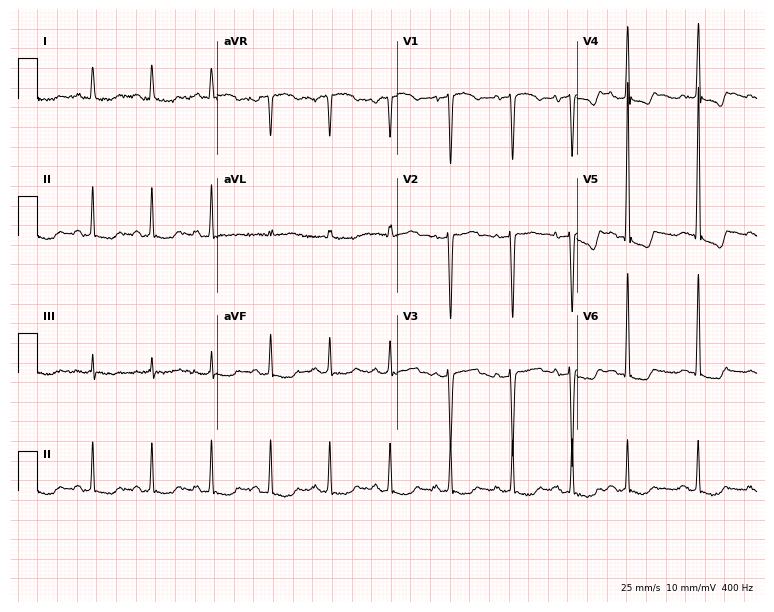
Electrocardiogram, a female, 70 years old. Of the six screened findings (first-degree AV block, right bundle branch block, left bundle branch block, sinus bradycardia, atrial fibrillation, sinus tachycardia), none is recorded. Only these six findings were labelled.